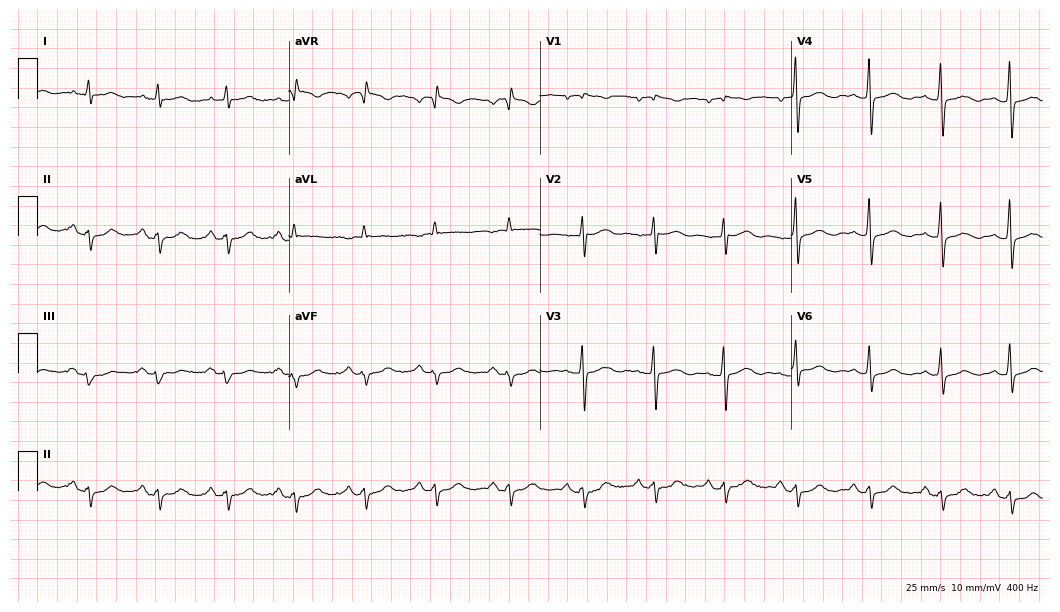
Electrocardiogram, a 74-year-old woman. Of the six screened findings (first-degree AV block, right bundle branch block (RBBB), left bundle branch block (LBBB), sinus bradycardia, atrial fibrillation (AF), sinus tachycardia), none is recorded. Only these six findings were labelled.